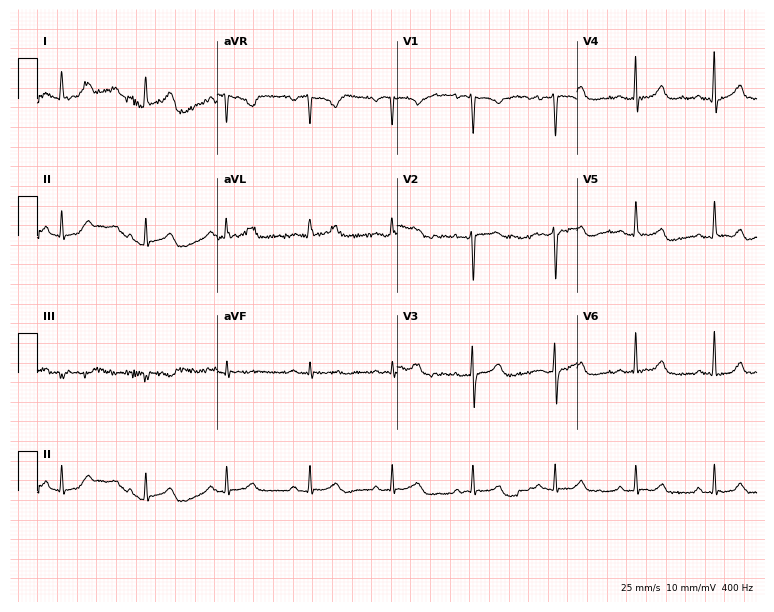
12-lead ECG from a 46-year-old female. Recorded interpretation: within normal limits.